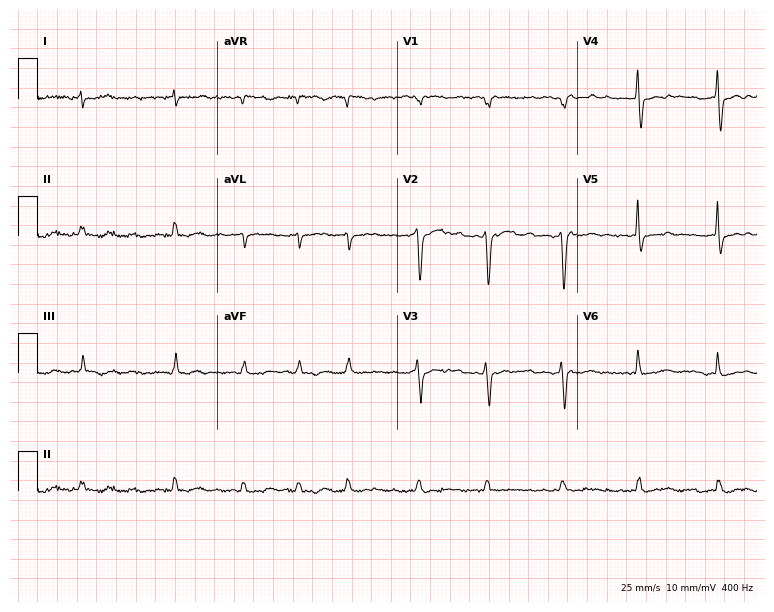
ECG — a 67-year-old male. Screened for six findings — first-degree AV block, right bundle branch block, left bundle branch block, sinus bradycardia, atrial fibrillation, sinus tachycardia — none is recorded.